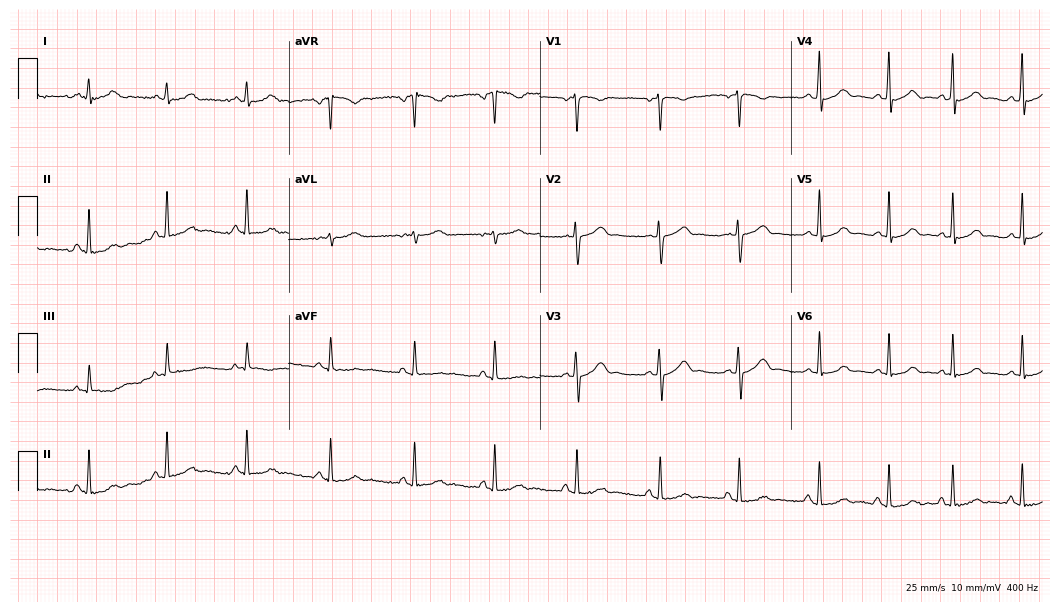
ECG (10.2-second recording at 400 Hz) — a 26-year-old female. Labelled as a normal ECG.